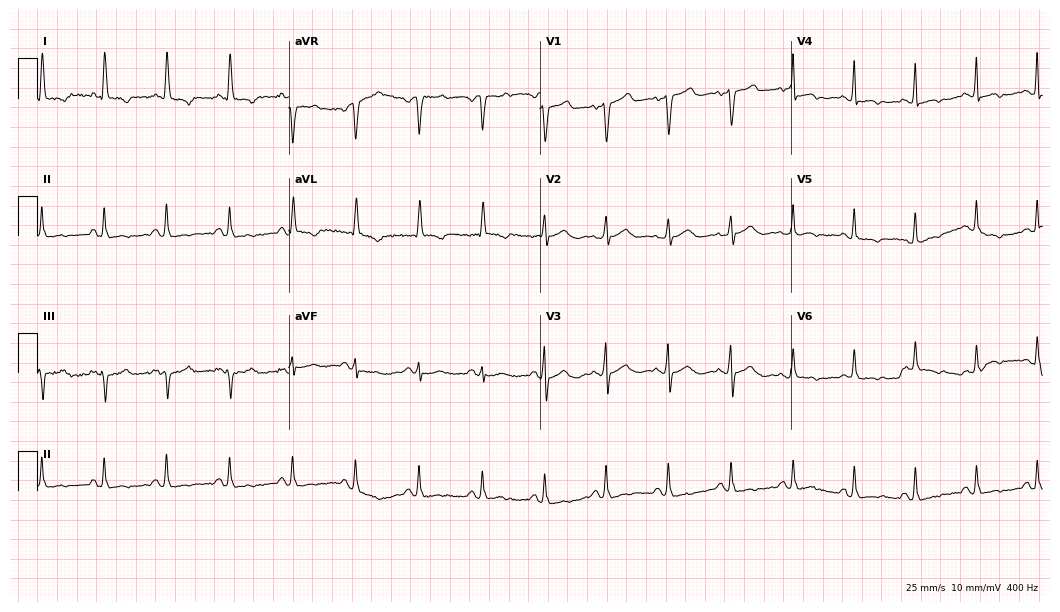
Resting 12-lead electrocardiogram (10.2-second recording at 400 Hz). Patient: a woman, 69 years old. None of these six findings is recorded: first-degree AV block, right bundle branch block (RBBB), left bundle branch block (LBBB), sinus bradycardia, atrial fibrillation (AF), sinus tachycardia.